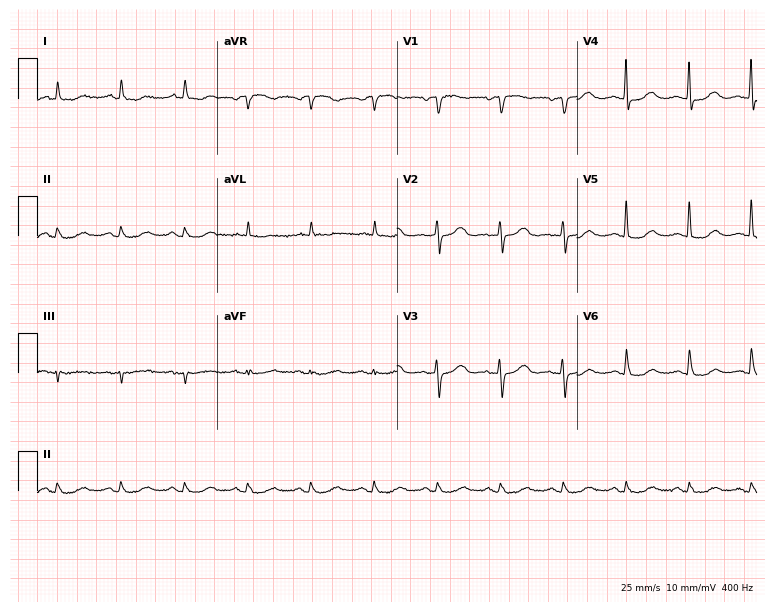
Electrocardiogram, a female patient, 73 years old. Of the six screened findings (first-degree AV block, right bundle branch block (RBBB), left bundle branch block (LBBB), sinus bradycardia, atrial fibrillation (AF), sinus tachycardia), none is recorded.